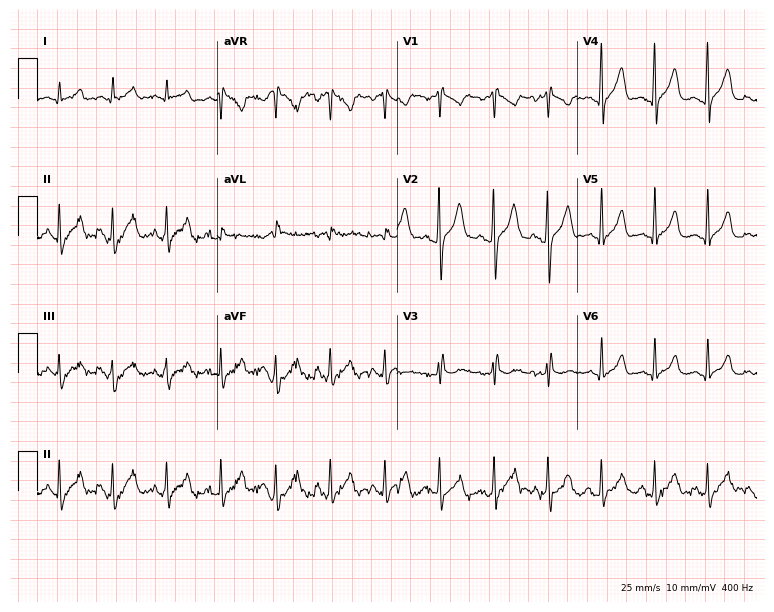
Resting 12-lead electrocardiogram. Patient: a 30-year-old male. The tracing shows sinus tachycardia (a sinus rate of 100 beats per minute or more).